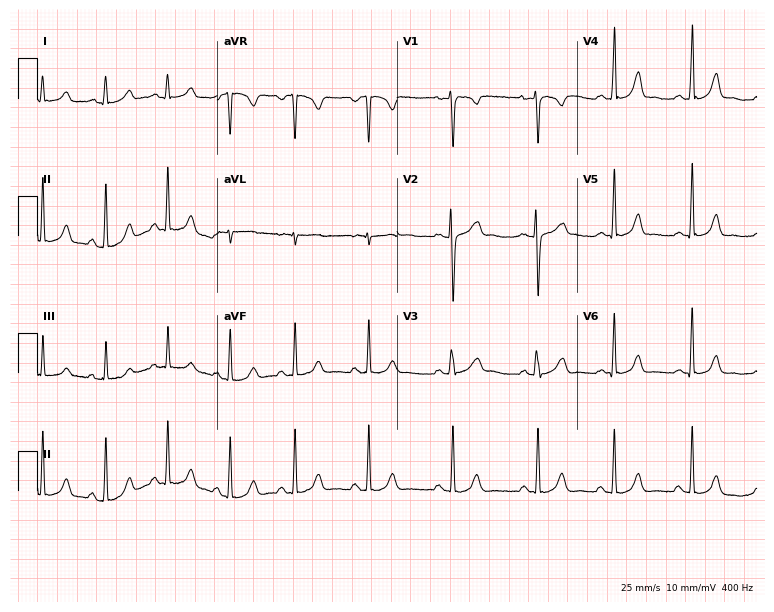
Standard 12-lead ECG recorded from a woman, 26 years old. Read as a normal ECG.